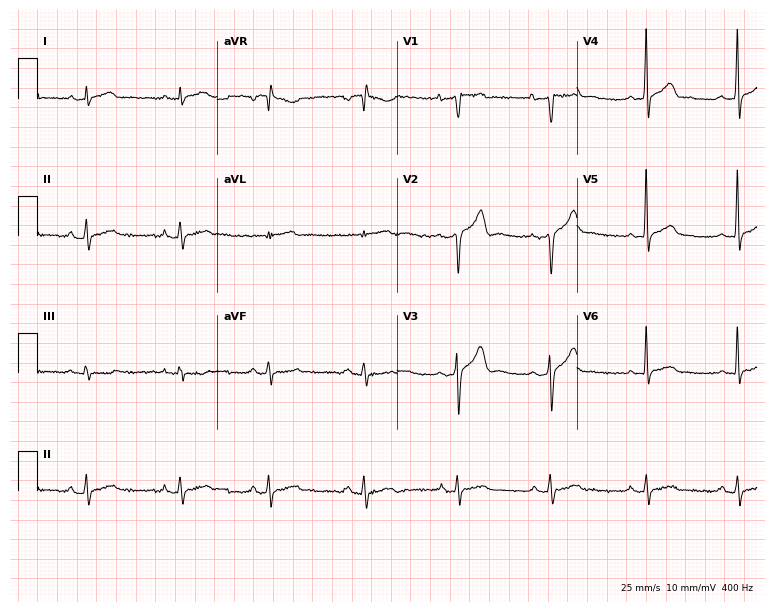
12-lead ECG (7.3-second recording at 400 Hz) from a 26-year-old man. Screened for six findings — first-degree AV block, right bundle branch block, left bundle branch block, sinus bradycardia, atrial fibrillation, sinus tachycardia — none is recorded. Only these six findings were labelled.